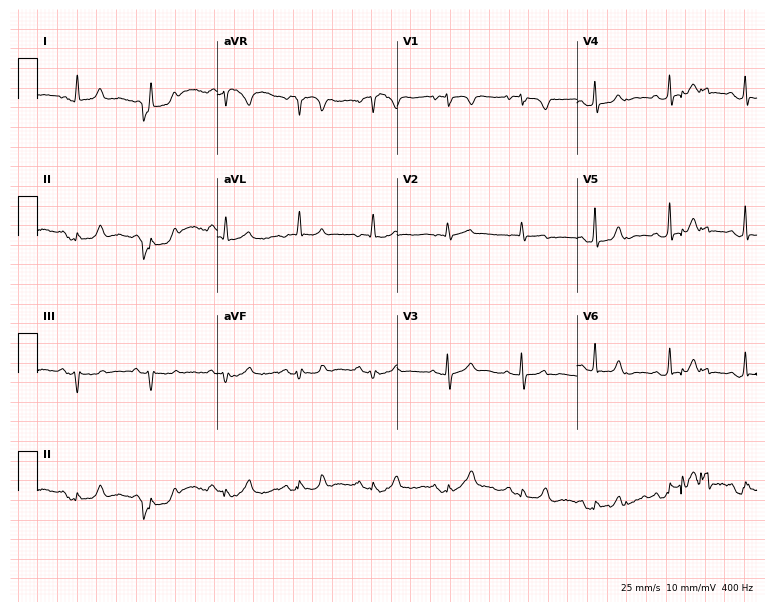
Electrocardiogram (7.3-second recording at 400 Hz), a female, 54 years old. Of the six screened findings (first-degree AV block, right bundle branch block, left bundle branch block, sinus bradycardia, atrial fibrillation, sinus tachycardia), none is recorded. Other findings, if any, are not listed.